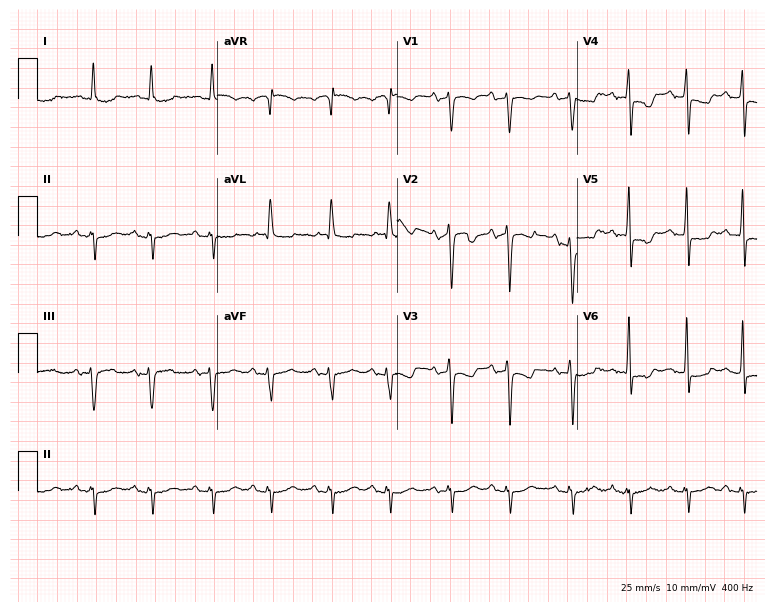
Resting 12-lead electrocardiogram (7.3-second recording at 400 Hz). Patient: a female, 85 years old. None of these six findings is recorded: first-degree AV block, right bundle branch block, left bundle branch block, sinus bradycardia, atrial fibrillation, sinus tachycardia. Other findings, if any, are not listed.